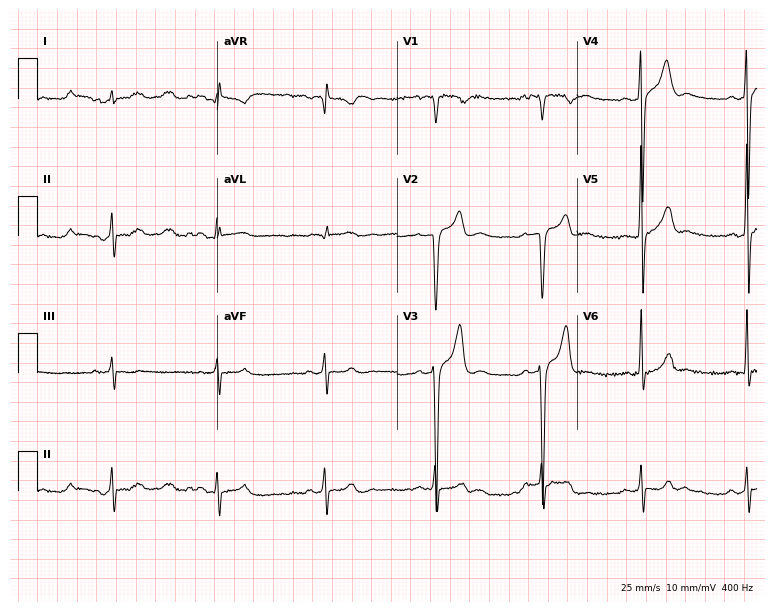
12-lead ECG from a male, 32 years old (7.3-second recording at 400 Hz). Recorded interpretation: within normal limits.